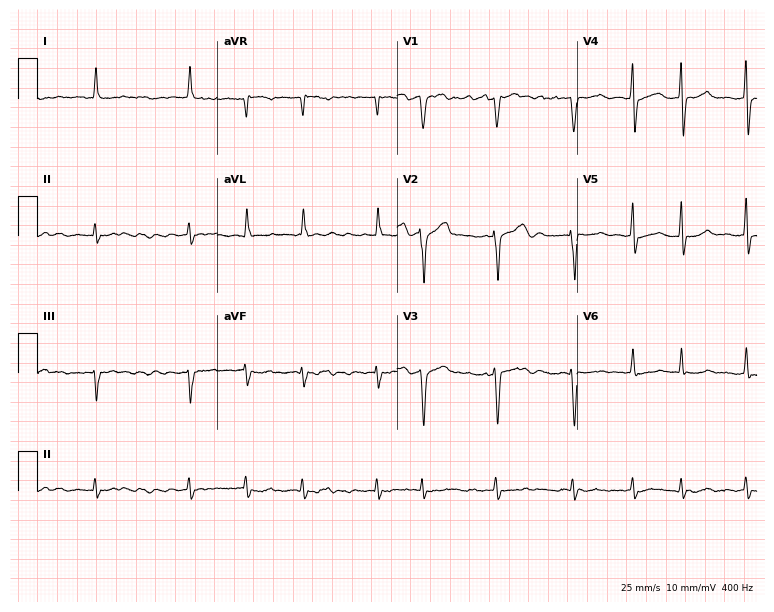
ECG — a male patient, 58 years old. Findings include atrial fibrillation.